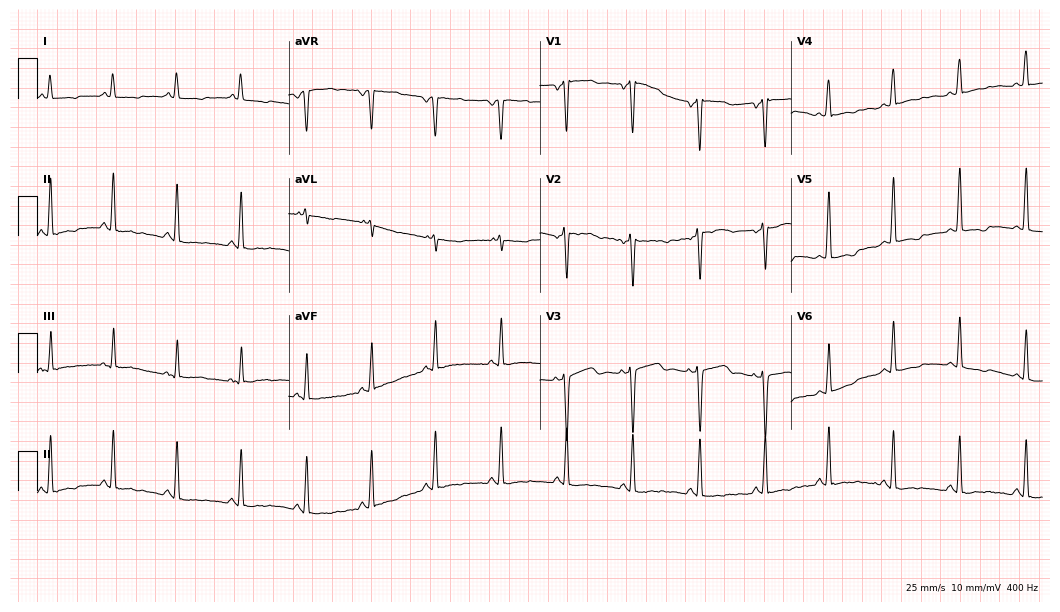
ECG (10.2-second recording at 400 Hz) — a female, 39 years old. Screened for six findings — first-degree AV block, right bundle branch block, left bundle branch block, sinus bradycardia, atrial fibrillation, sinus tachycardia — none is recorded. Other findings, if any, are not listed.